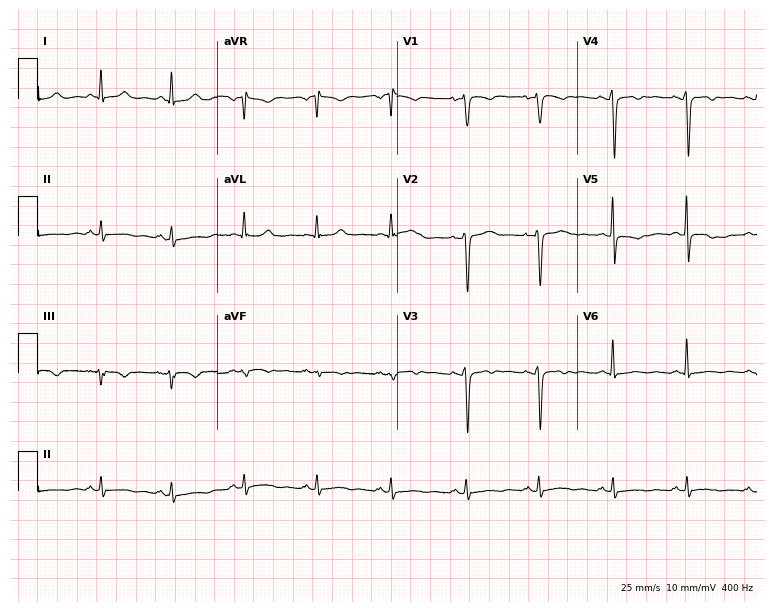
12-lead ECG from a 41-year-old female (7.3-second recording at 400 Hz). No first-degree AV block, right bundle branch block, left bundle branch block, sinus bradycardia, atrial fibrillation or sinus tachycardia recorded for this tracing.